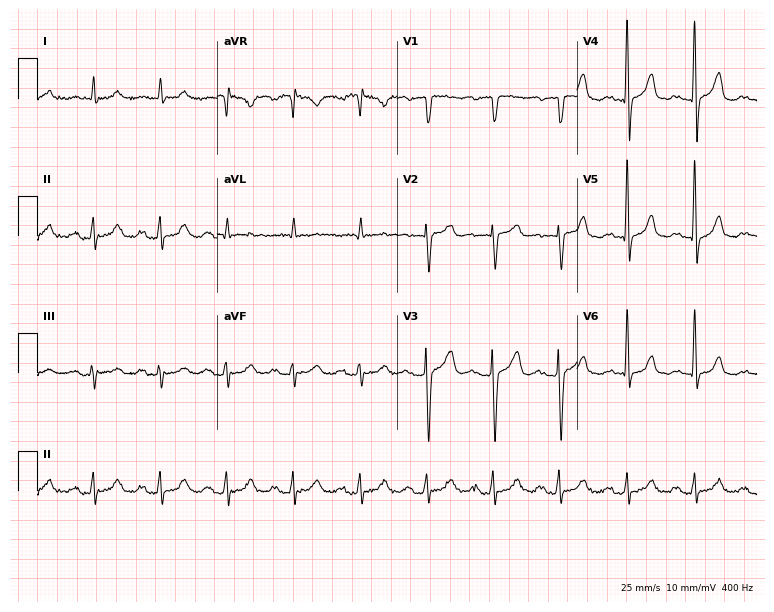
Standard 12-lead ECG recorded from a 61-year-old male patient (7.3-second recording at 400 Hz). Read as a normal ECG.